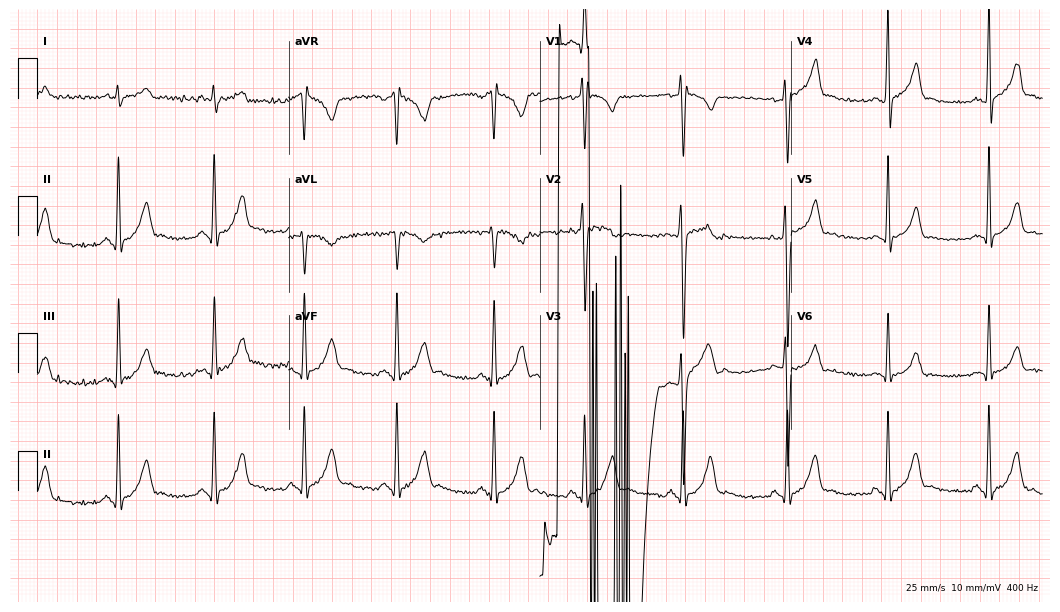
Standard 12-lead ECG recorded from a 19-year-old man (10.2-second recording at 400 Hz). None of these six findings is recorded: first-degree AV block, right bundle branch block, left bundle branch block, sinus bradycardia, atrial fibrillation, sinus tachycardia. Other findings, if any, are not listed.